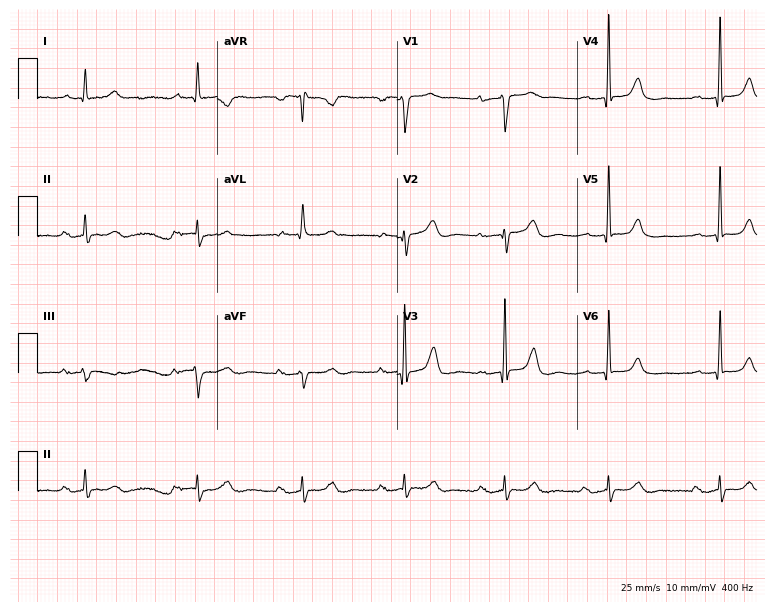
Electrocardiogram, a 65-year-old female. Interpretation includes first-degree AV block.